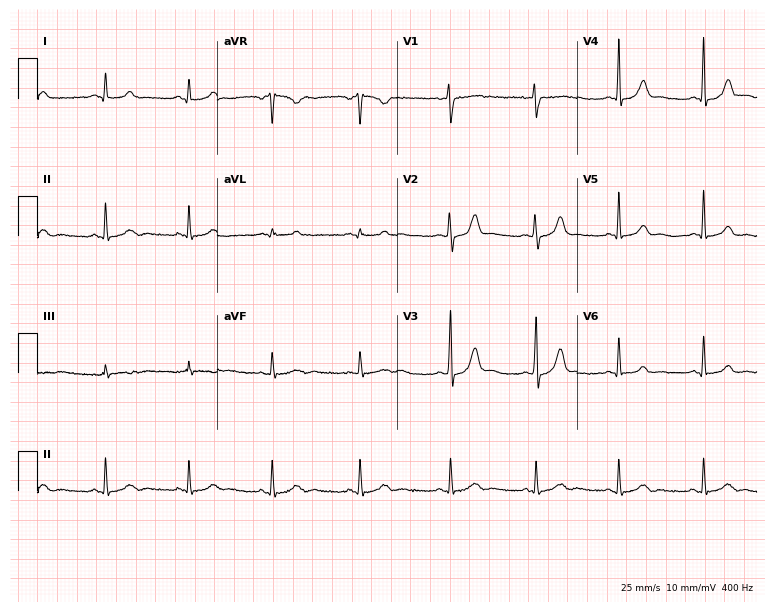
Electrocardiogram, a 25-year-old female patient. Overall reading on record: normal ECG.